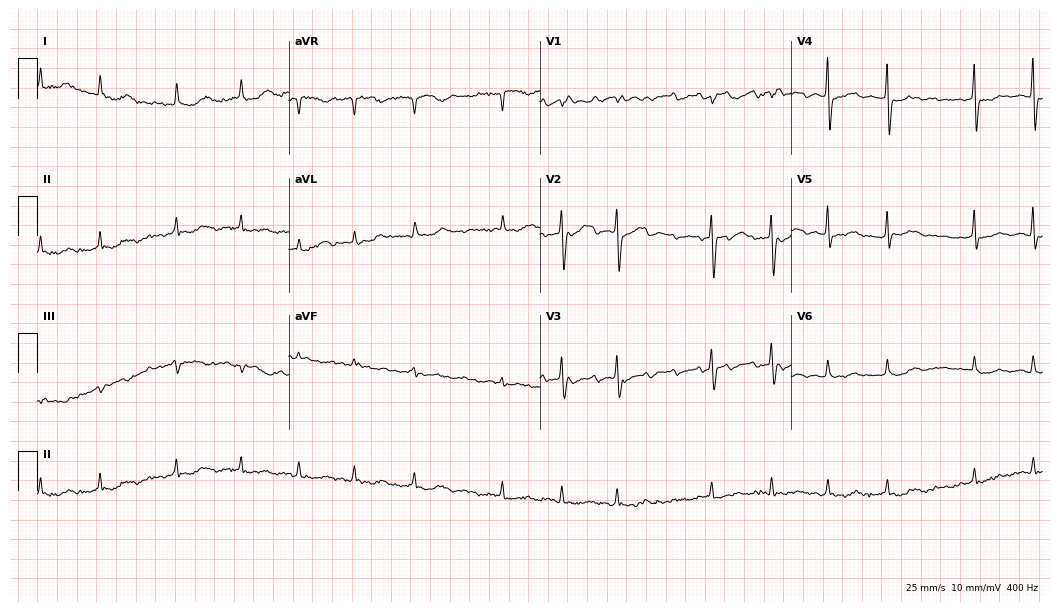
Electrocardiogram, a woman, 83 years old. Interpretation includes atrial fibrillation.